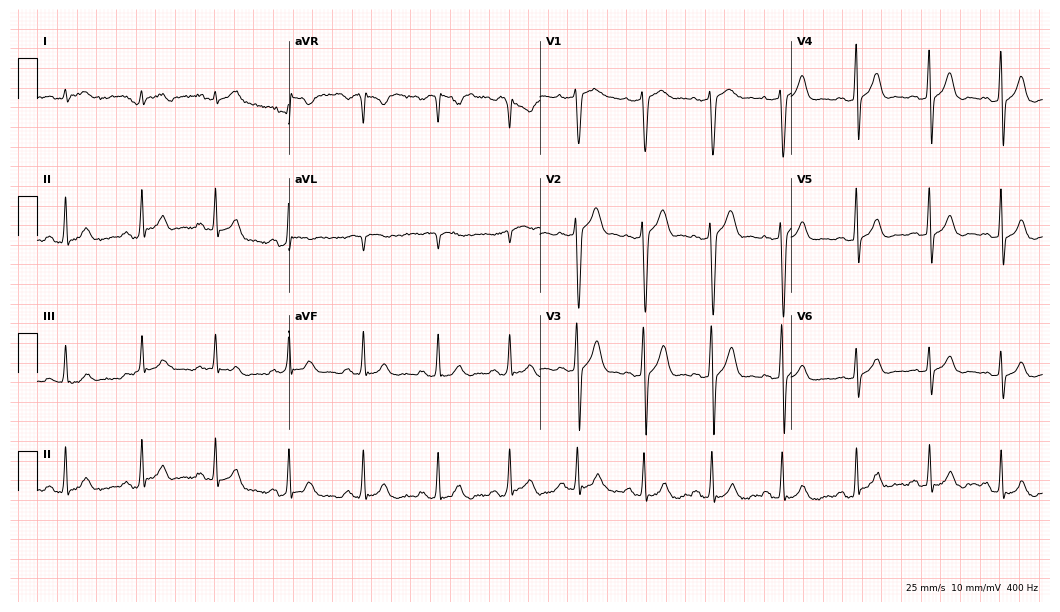
ECG — a 35-year-old man. Screened for six findings — first-degree AV block, right bundle branch block, left bundle branch block, sinus bradycardia, atrial fibrillation, sinus tachycardia — none is recorded.